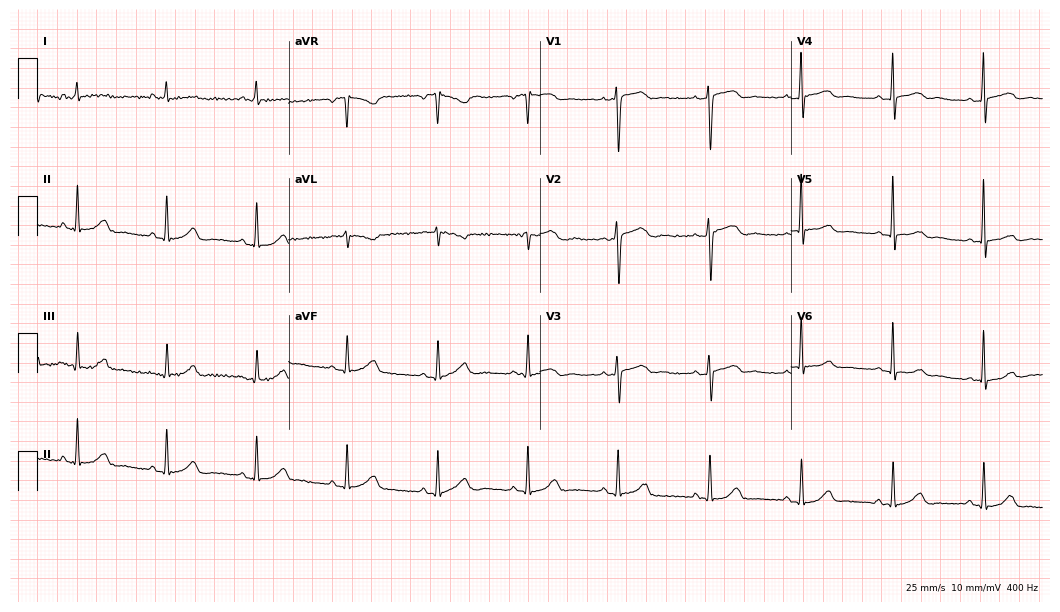
12-lead ECG from a woman, 67 years old. Labelled as a normal ECG.